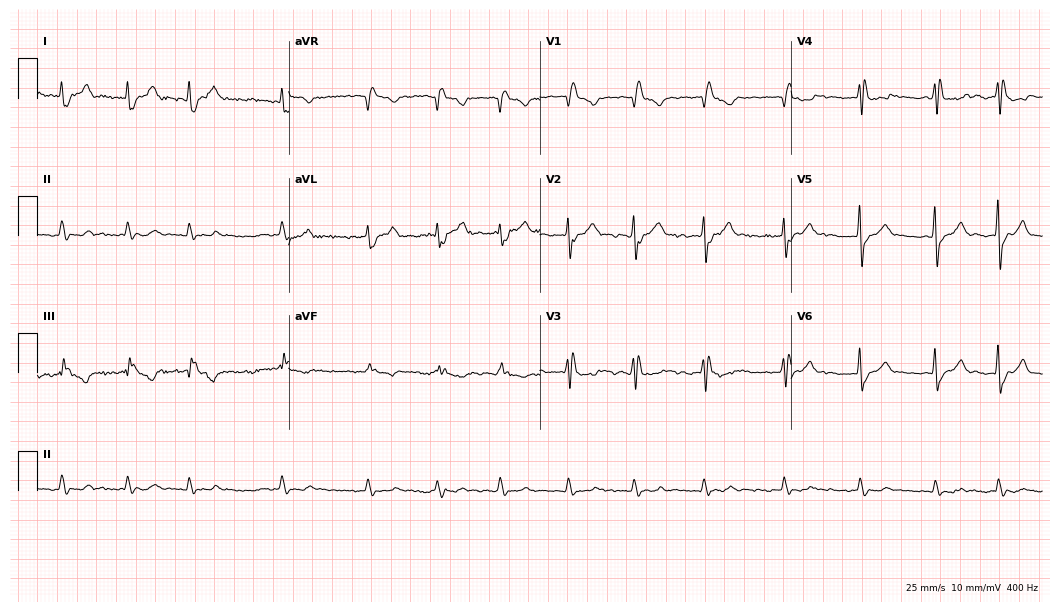
ECG (10.2-second recording at 400 Hz) — a 68-year-old male patient. Screened for six findings — first-degree AV block, right bundle branch block (RBBB), left bundle branch block (LBBB), sinus bradycardia, atrial fibrillation (AF), sinus tachycardia — none is recorded. Findings outside these six are not listed.